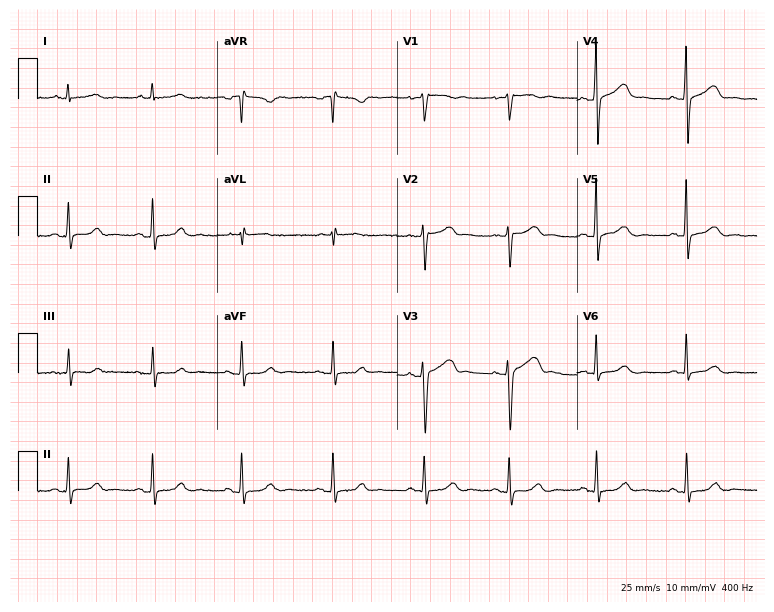
Electrocardiogram, a 47-year-old woman. Of the six screened findings (first-degree AV block, right bundle branch block, left bundle branch block, sinus bradycardia, atrial fibrillation, sinus tachycardia), none is recorded. Only these six findings were labelled.